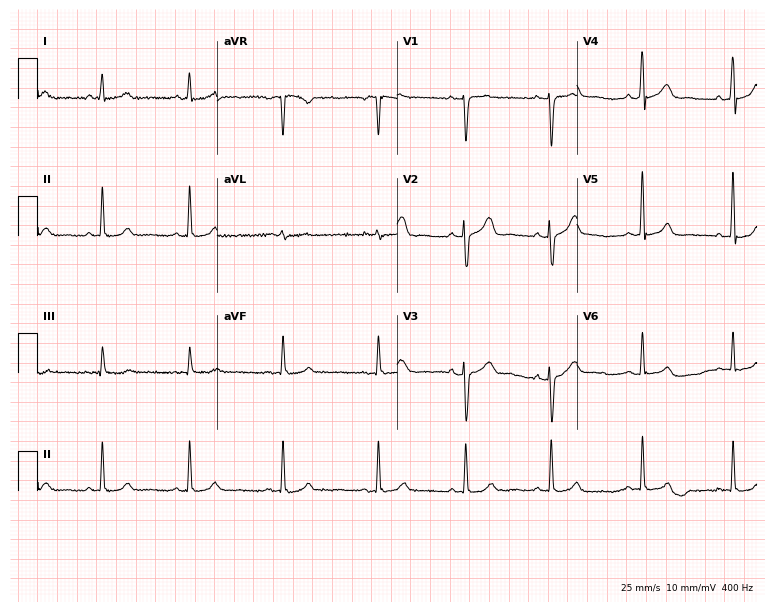
12-lead ECG from a female patient, 34 years old (7.3-second recording at 400 Hz). Recorded interpretation: within normal limits.